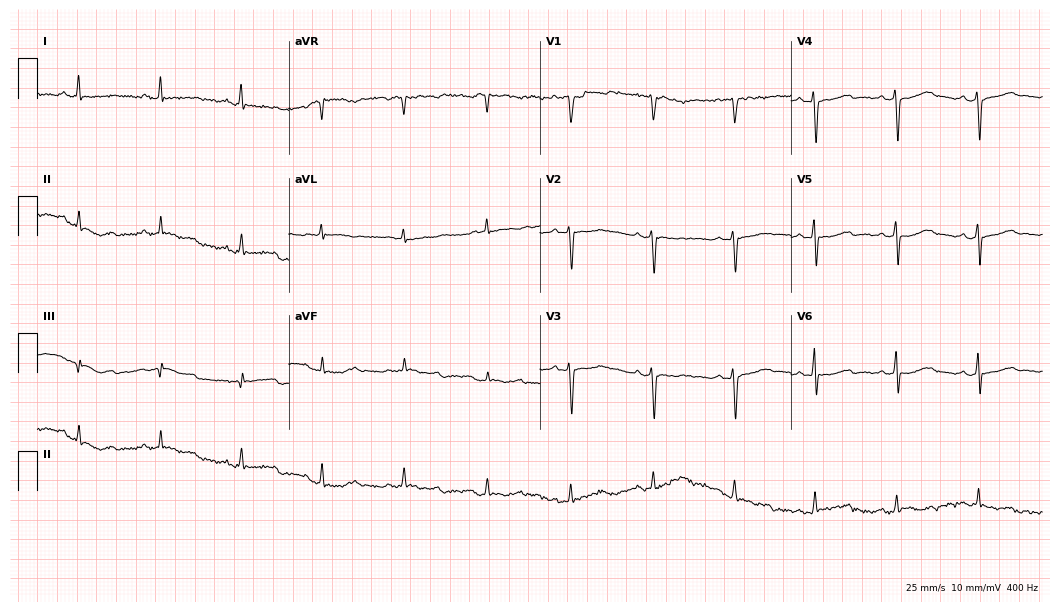
Resting 12-lead electrocardiogram. Patient: a 53-year-old woman. None of these six findings is recorded: first-degree AV block, right bundle branch block, left bundle branch block, sinus bradycardia, atrial fibrillation, sinus tachycardia. Only these six findings were labelled.